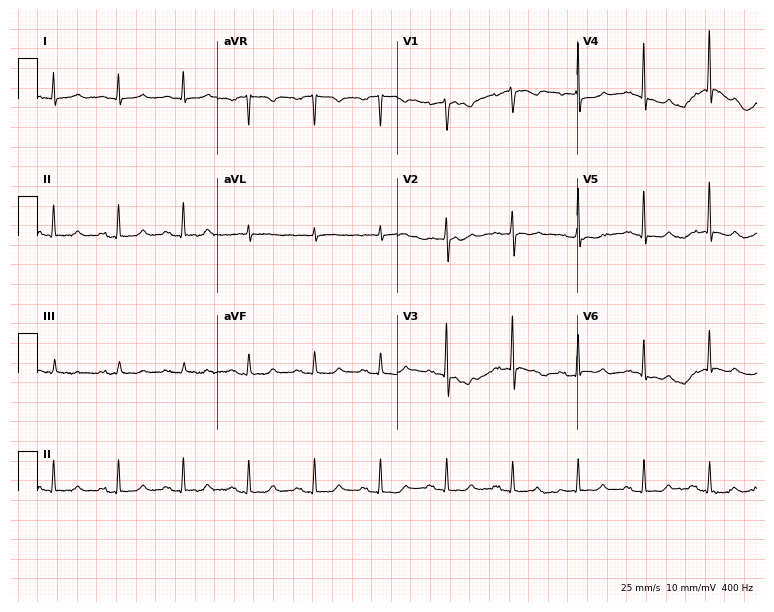
Standard 12-lead ECG recorded from a 68-year-old female patient. None of these six findings is recorded: first-degree AV block, right bundle branch block (RBBB), left bundle branch block (LBBB), sinus bradycardia, atrial fibrillation (AF), sinus tachycardia. Findings outside these six are not listed.